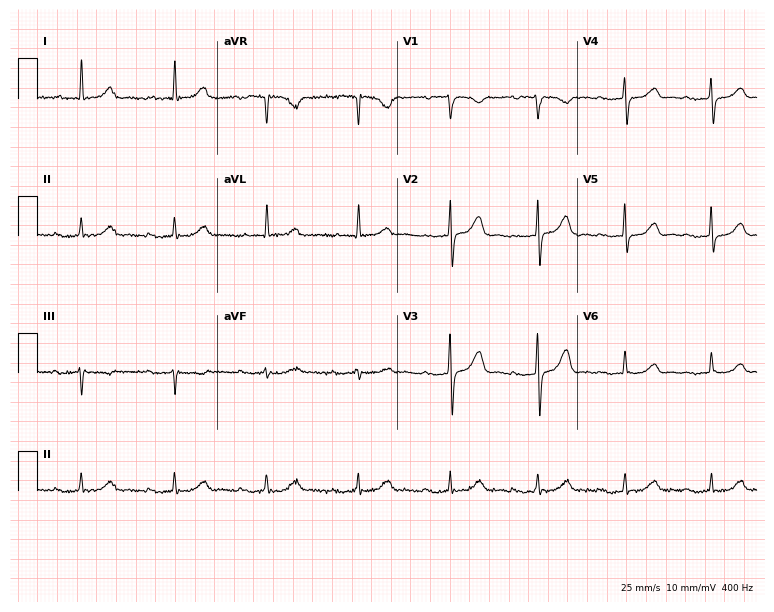
Resting 12-lead electrocardiogram. Patient: a 68-year-old woman. The tracing shows first-degree AV block.